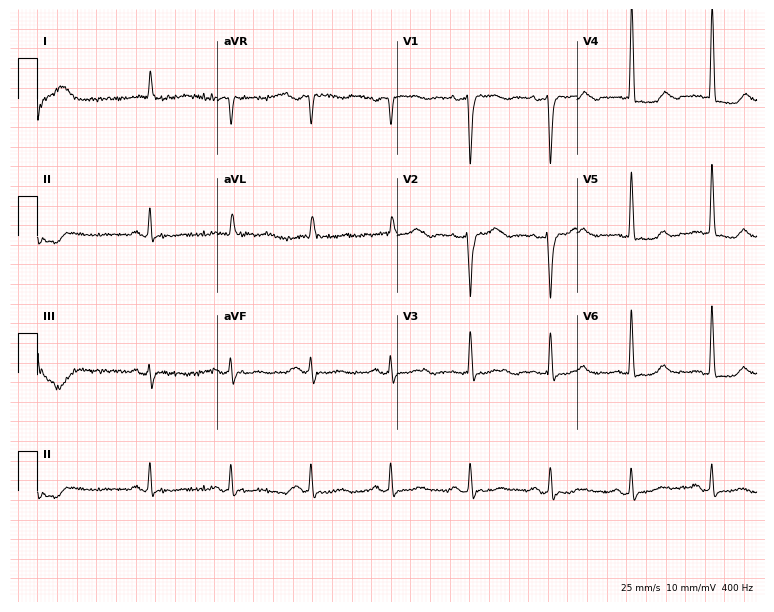
ECG — a female patient, 85 years old. Screened for six findings — first-degree AV block, right bundle branch block, left bundle branch block, sinus bradycardia, atrial fibrillation, sinus tachycardia — none is recorded. Only these six findings were labelled.